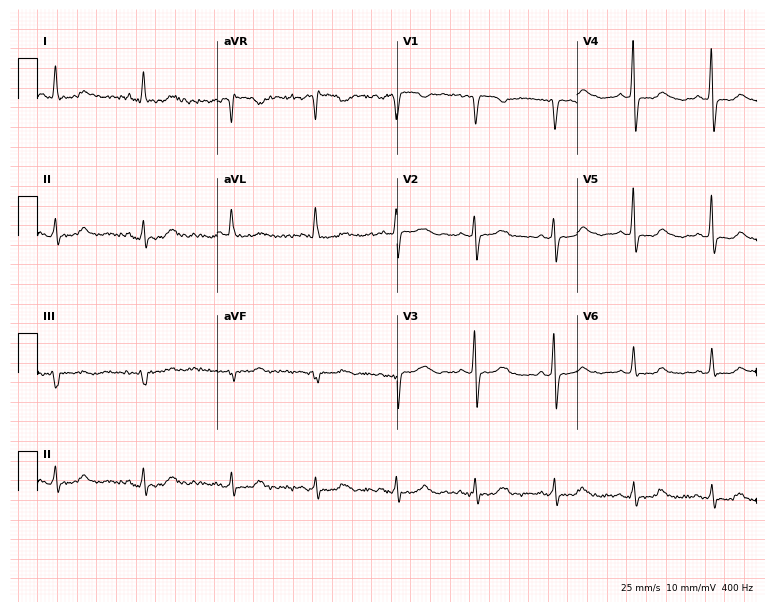
12-lead ECG from a female patient, 53 years old (7.3-second recording at 400 Hz). No first-degree AV block, right bundle branch block, left bundle branch block, sinus bradycardia, atrial fibrillation or sinus tachycardia recorded for this tracing.